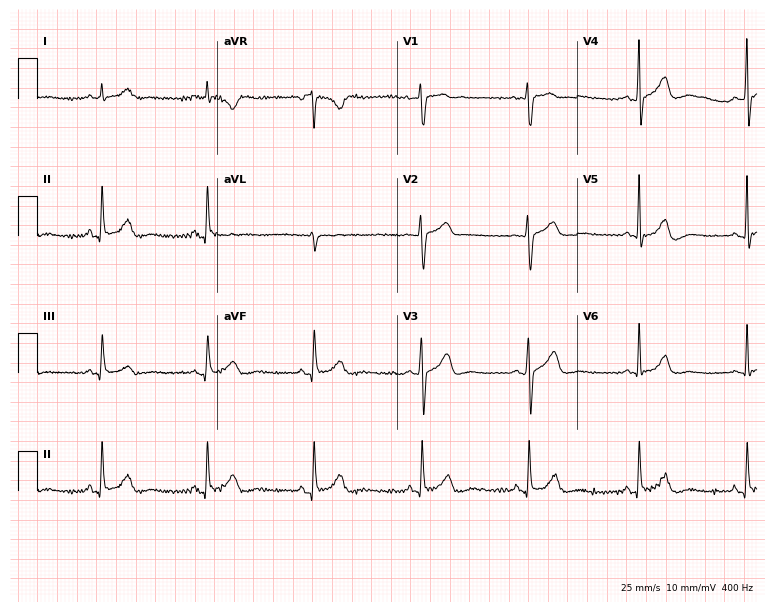
12-lead ECG from a 42-year-old female patient. Recorded interpretation: within normal limits.